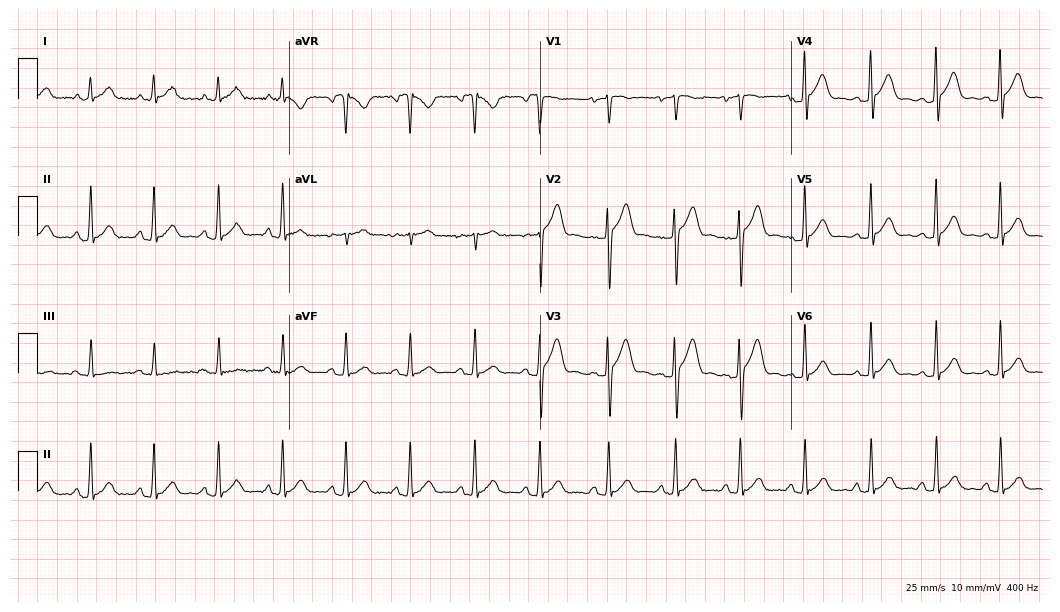
Resting 12-lead electrocardiogram. Patient: a male, 35 years old. Read as a normal ECG.